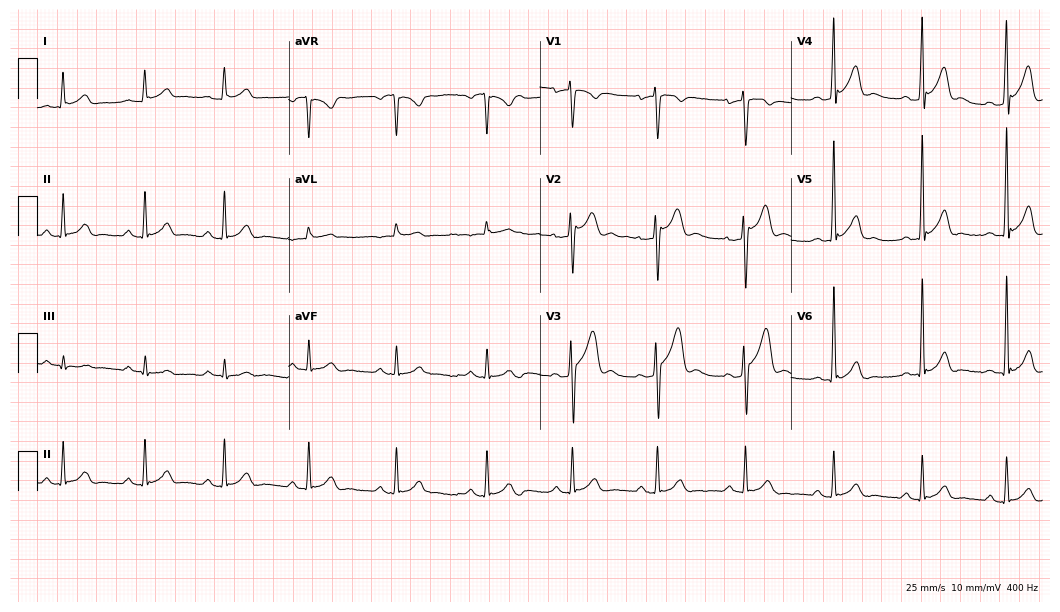
12-lead ECG (10.2-second recording at 400 Hz) from a 31-year-old male patient. Labelled as a normal ECG.